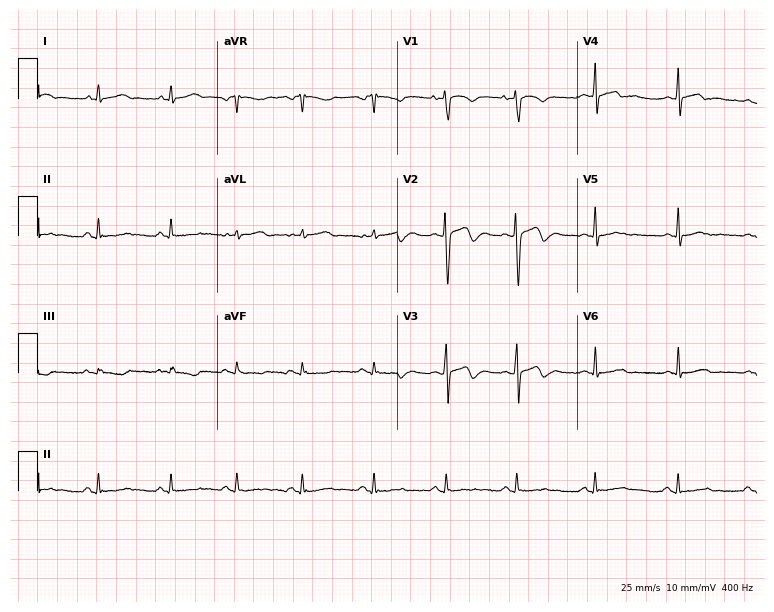
12-lead ECG from a woman, 23 years old (7.3-second recording at 400 Hz). Recorded interpretation: within normal limits.